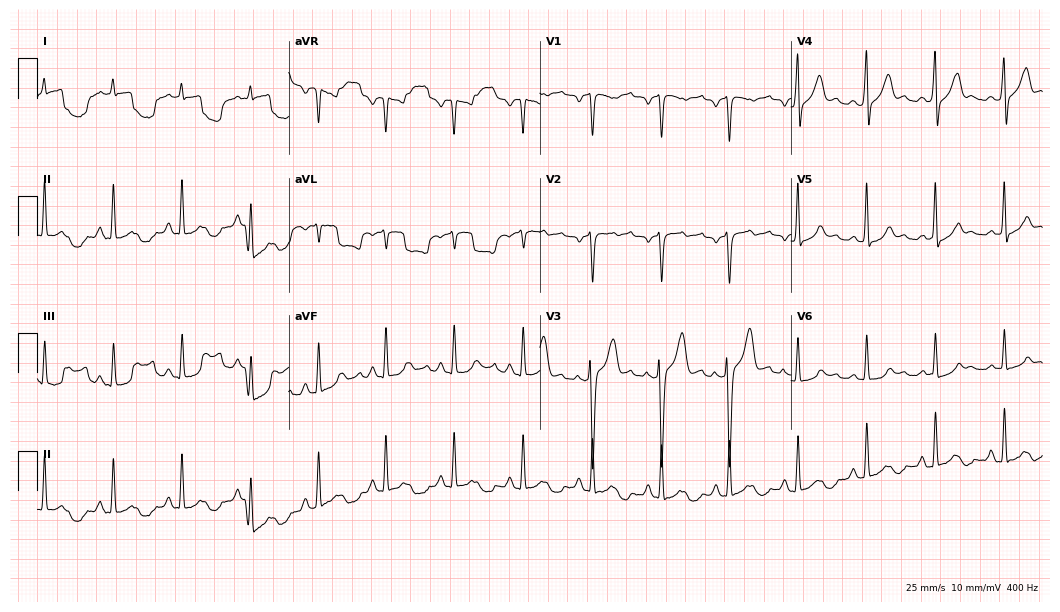
Resting 12-lead electrocardiogram (10.2-second recording at 400 Hz). Patient: a male, 62 years old. Read as a normal ECG.